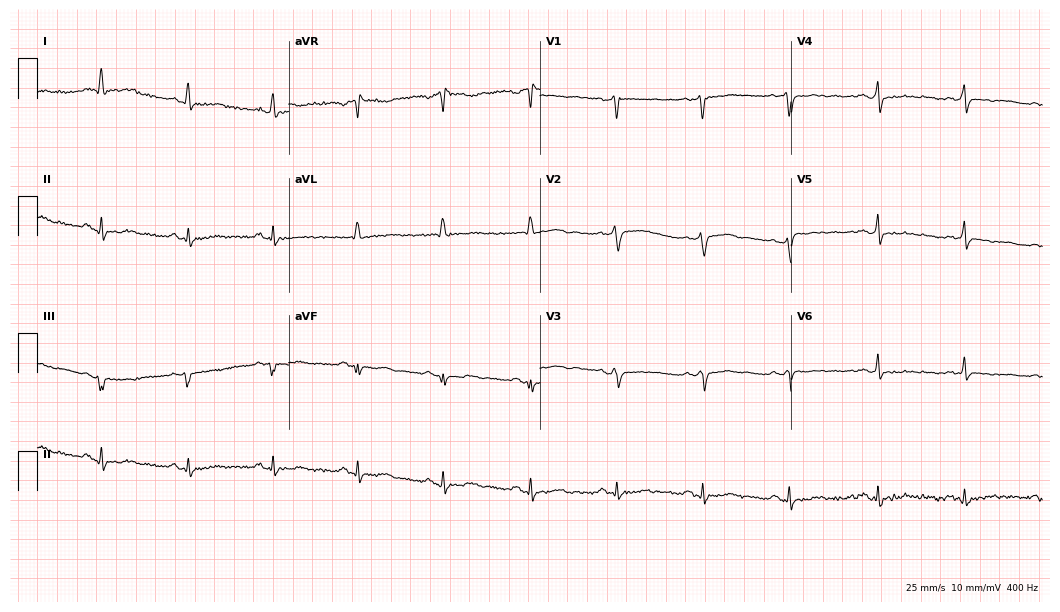
Electrocardiogram (10.2-second recording at 400 Hz), a female, 56 years old. Overall reading on record: normal ECG.